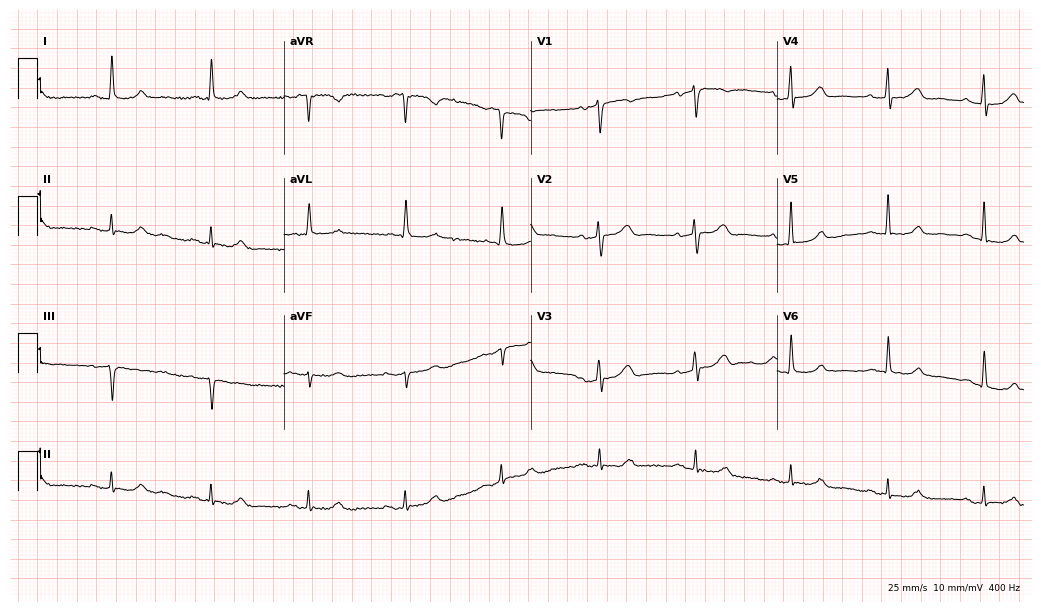
12-lead ECG from an 85-year-old female patient. Recorded interpretation: within normal limits.